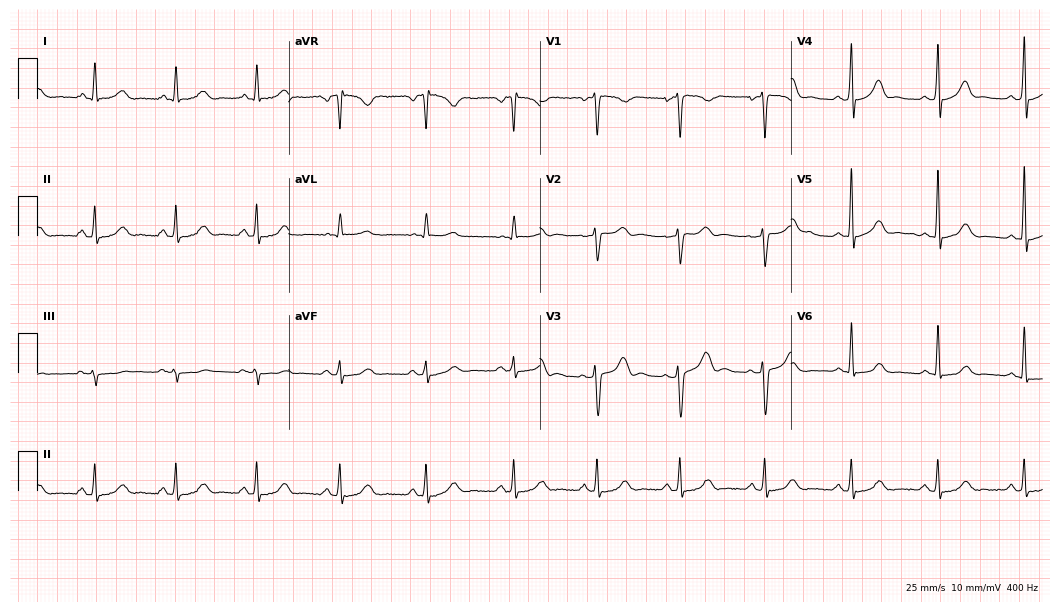
Standard 12-lead ECG recorded from a 47-year-old female patient (10.2-second recording at 400 Hz). Read as a normal ECG.